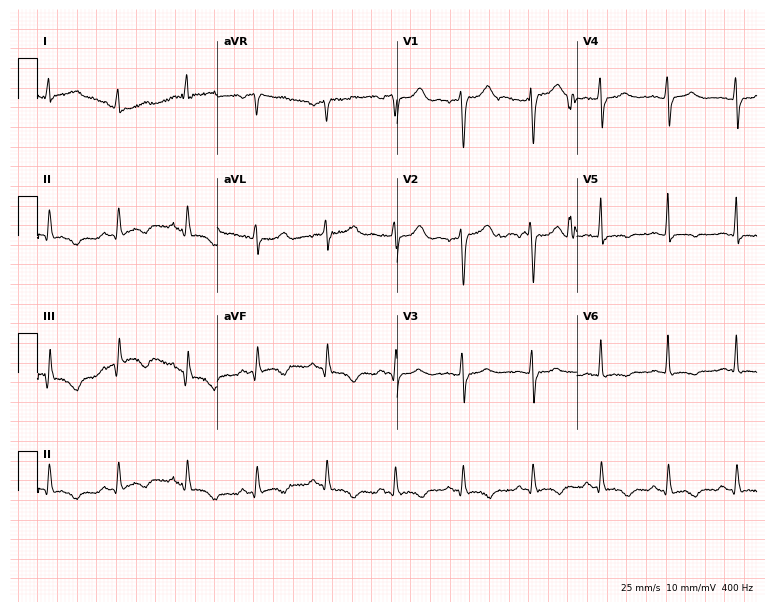
12-lead ECG from a woman, 64 years old. Screened for six findings — first-degree AV block, right bundle branch block, left bundle branch block, sinus bradycardia, atrial fibrillation, sinus tachycardia — none is recorded. Only these six findings were labelled.